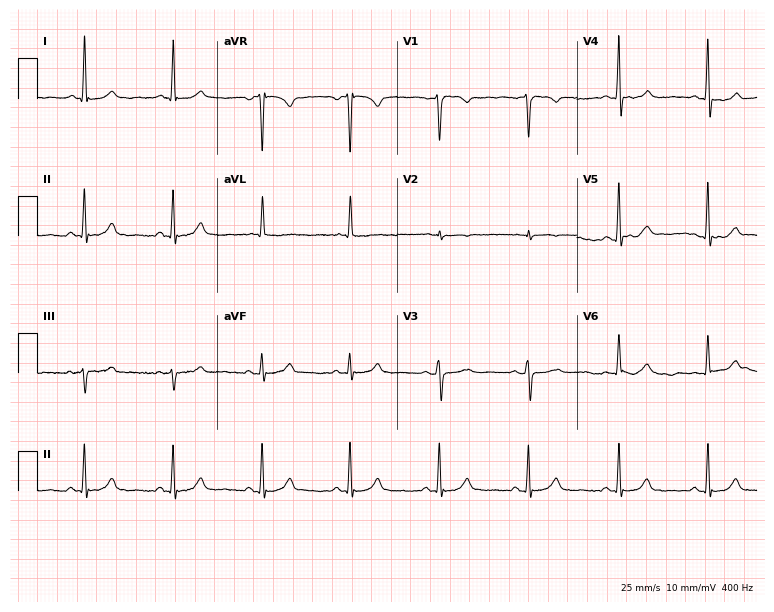
12-lead ECG from a 77-year-old female. Recorded interpretation: within normal limits.